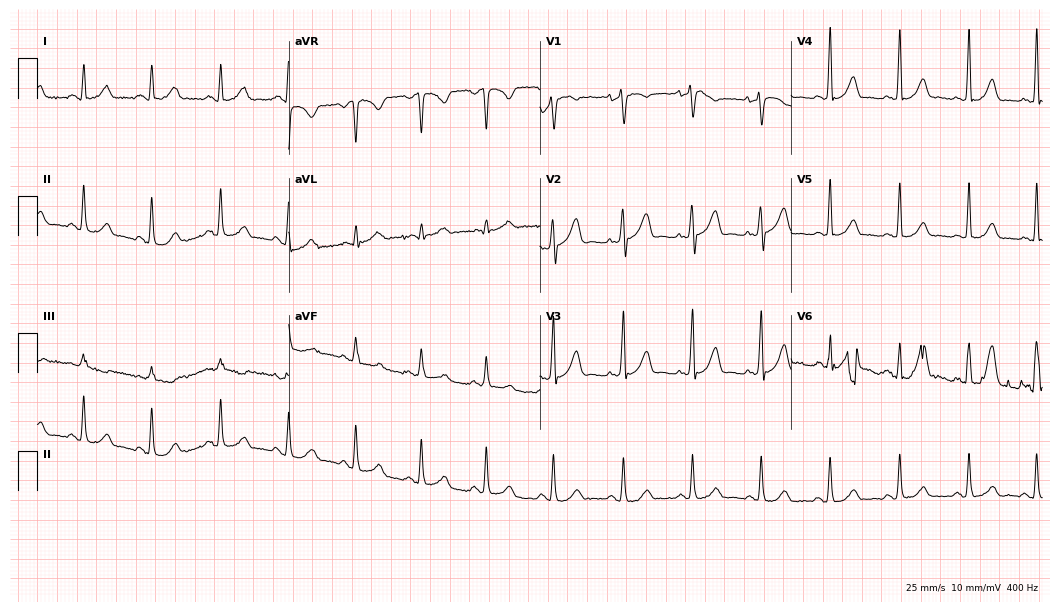
12-lead ECG from a 38-year-old female. Labelled as a normal ECG.